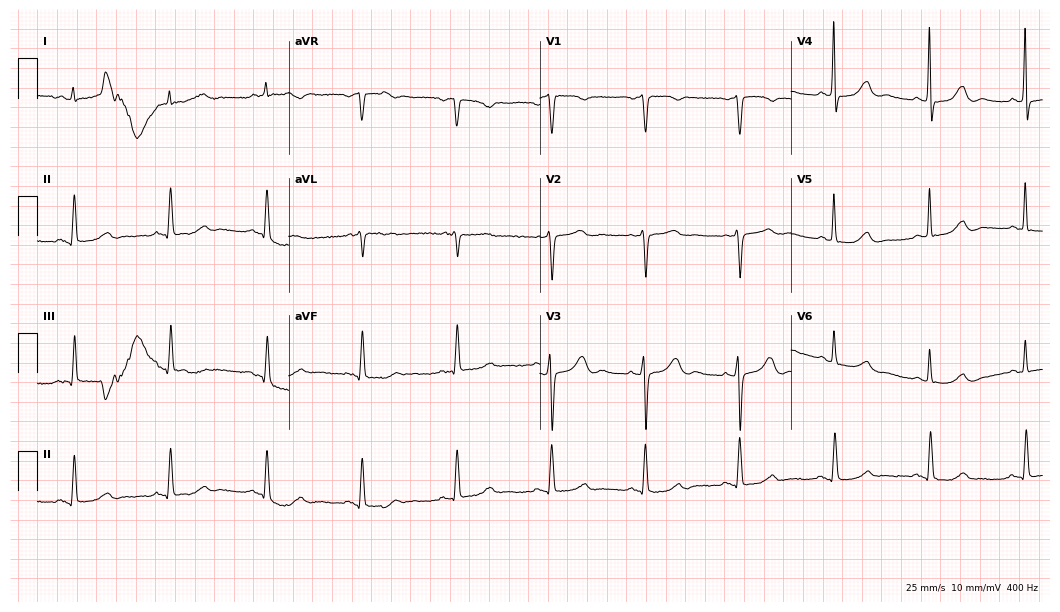
Electrocardiogram, a 74-year-old male. Overall reading on record: normal ECG.